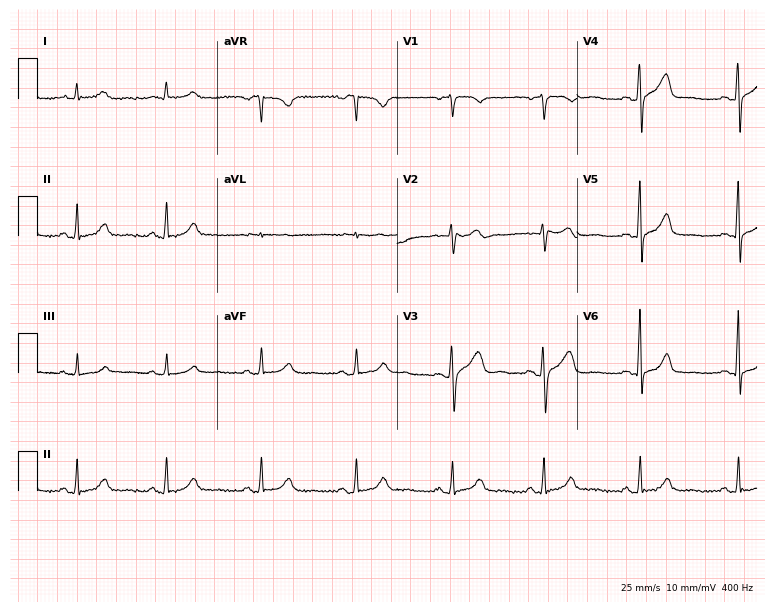
ECG — a female, 46 years old. Labelled as a normal ECG.